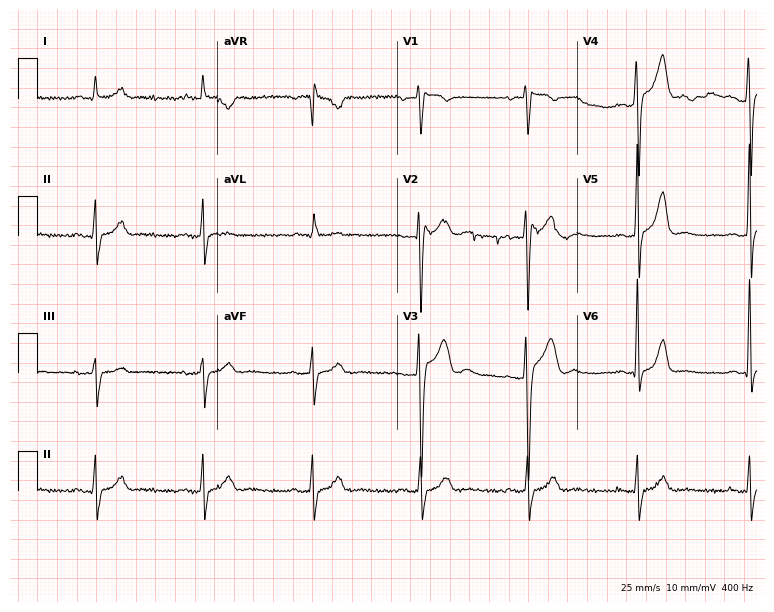
Standard 12-lead ECG recorded from a man, 33 years old (7.3-second recording at 400 Hz). None of these six findings is recorded: first-degree AV block, right bundle branch block, left bundle branch block, sinus bradycardia, atrial fibrillation, sinus tachycardia. Only these six findings were labelled.